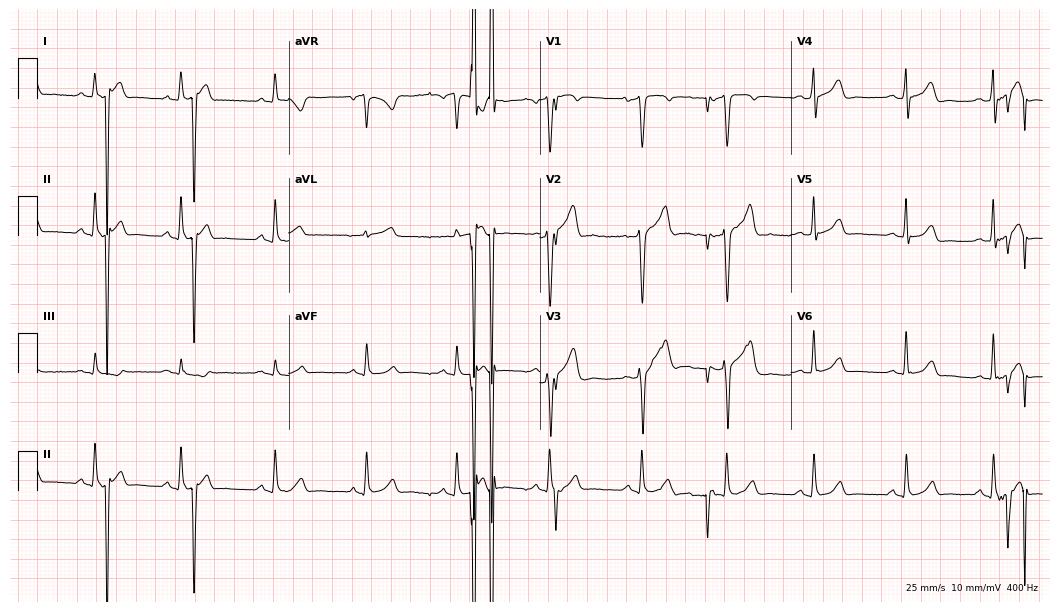
Electrocardiogram (10.2-second recording at 400 Hz), a man, 38 years old. Of the six screened findings (first-degree AV block, right bundle branch block, left bundle branch block, sinus bradycardia, atrial fibrillation, sinus tachycardia), none is recorded. Other findings, if any, are not listed.